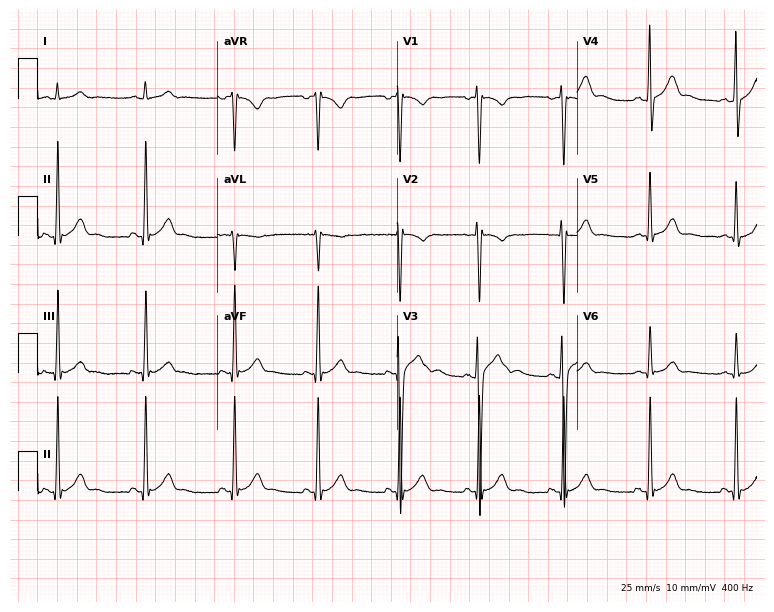
12-lead ECG from an 18-year-old male patient. Recorded interpretation: within normal limits.